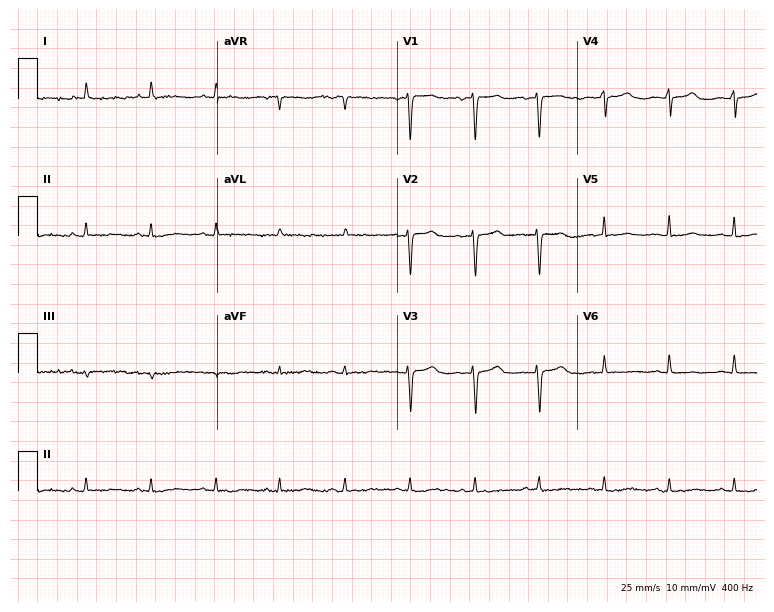
12-lead ECG (7.3-second recording at 400 Hz) from a 50-year-old man. Screened for six findings — first-degree AV block, right bundle branch block, left bundle branch block, sinus bradycardia, atrial fibrillation, sinus tachycardia — none is recorded. Only these six findings were labelled.